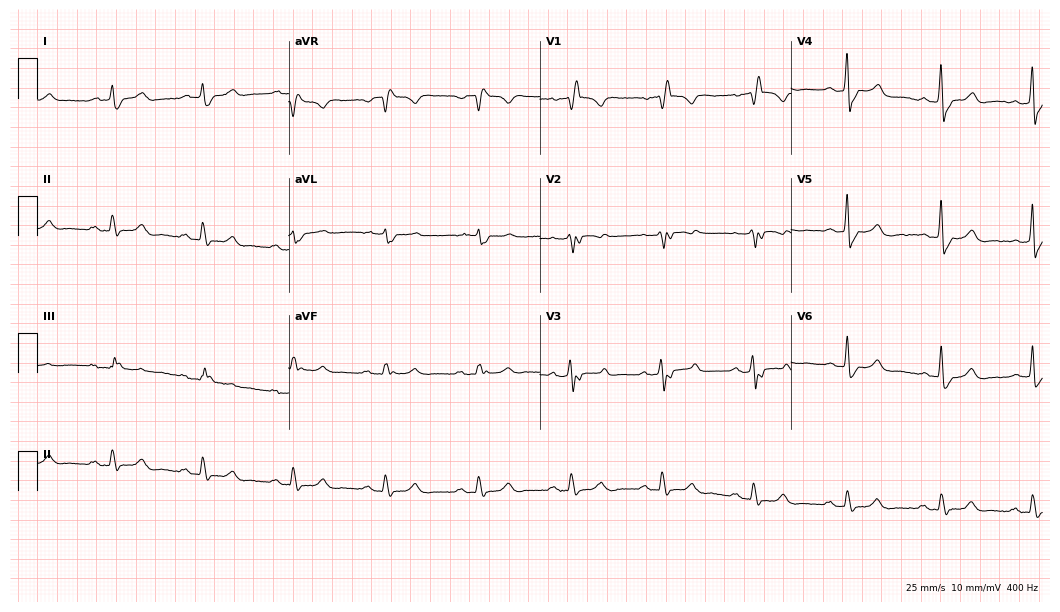
12-lead ECG (10.2-second recording at 400 Hz) from a 75-year-old male patient. Findings include right bundle branch block.